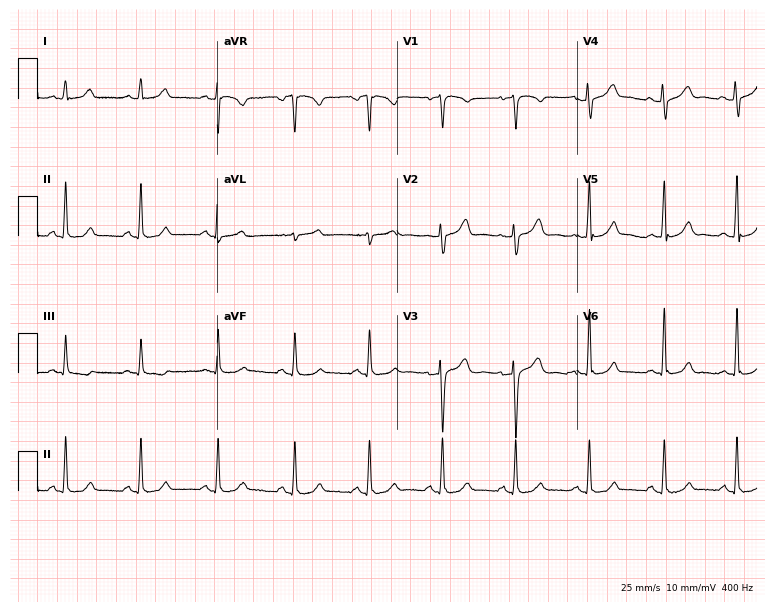
12-lead ECG from a 42-year-old male. Labelled as a normal ECG.